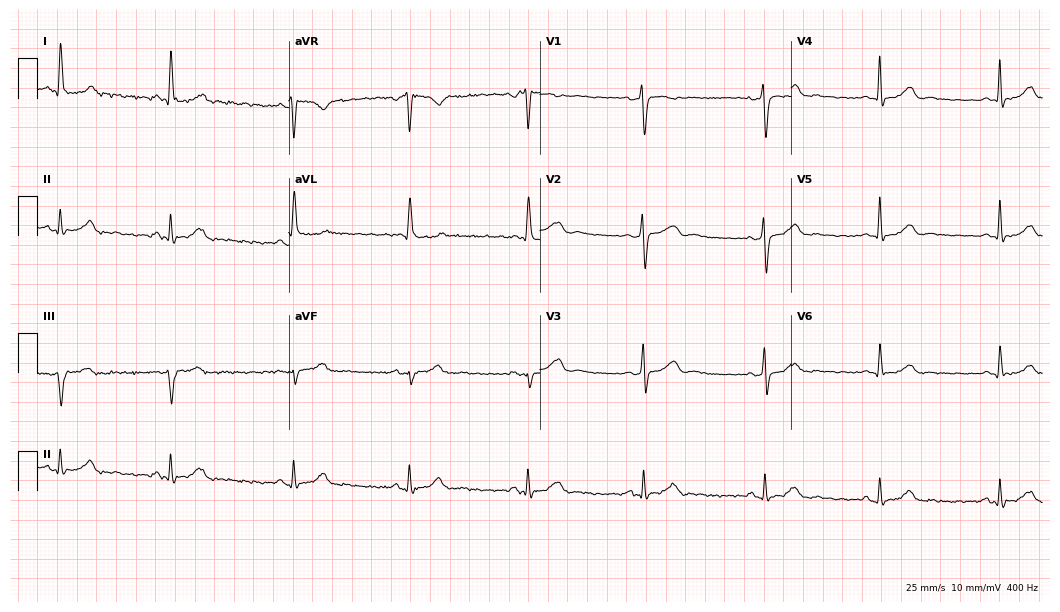
ECG — a female, 56 years old. Findings include sinus bradycardia (a sinus rate of 50 beats per minute or less).